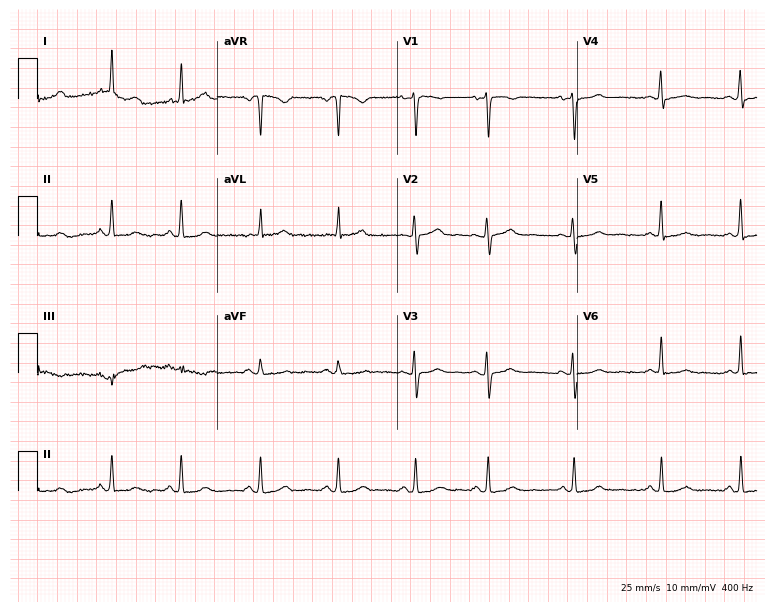
Resting 12-lead electrocardiogram. Patient: a 43-year-old female. Read as a normal ECG.